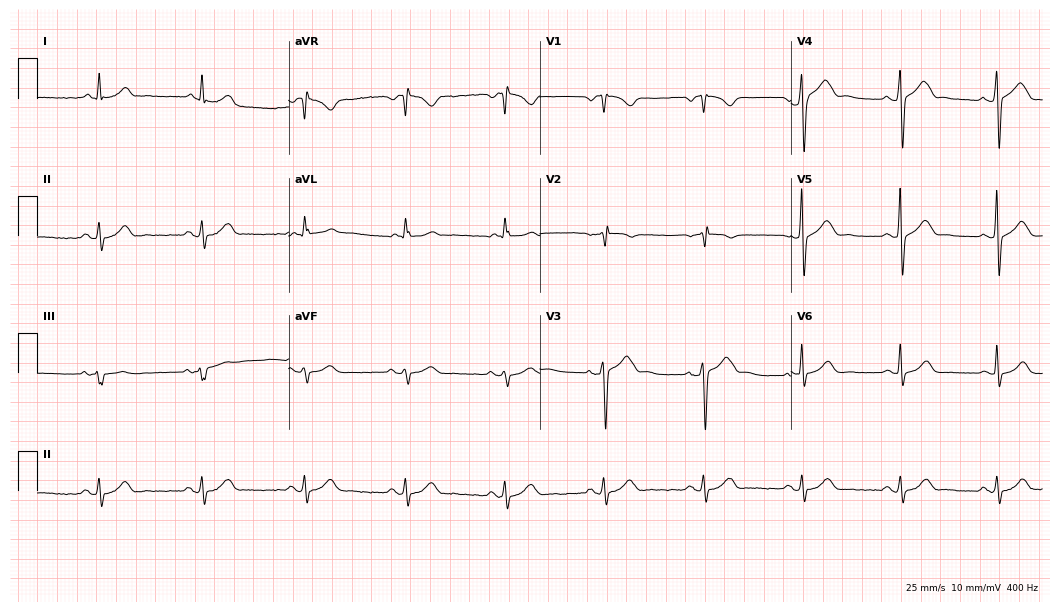
Resting 12-lead electrocardiogram. Patient: a male, 62 years old. Read as a normal ECG.